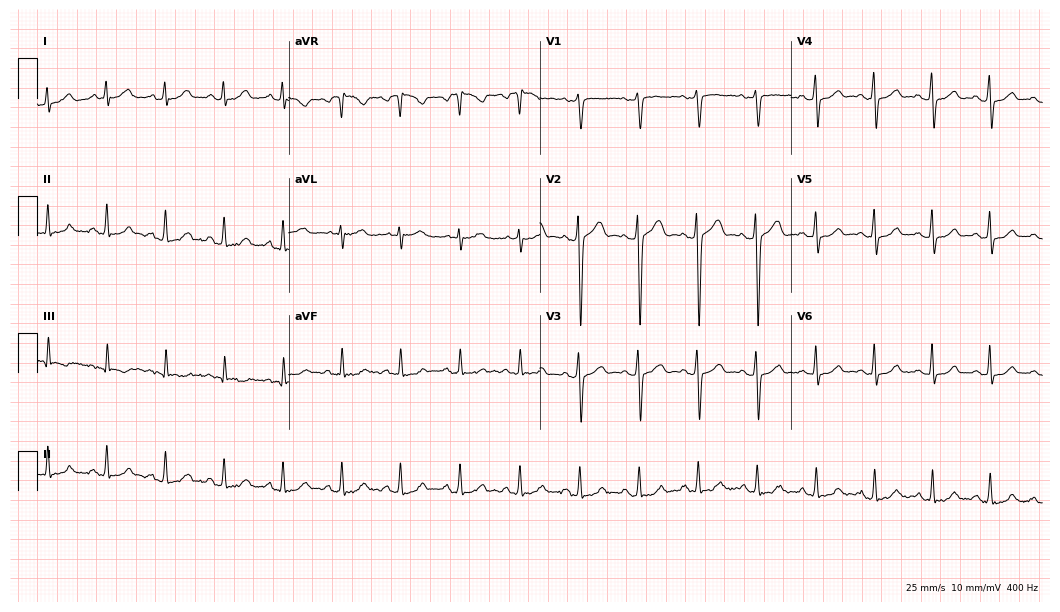
ECG (10.2-second recording at 400 Hz) — a man, 35 years old. Labelled as a normal ECG.